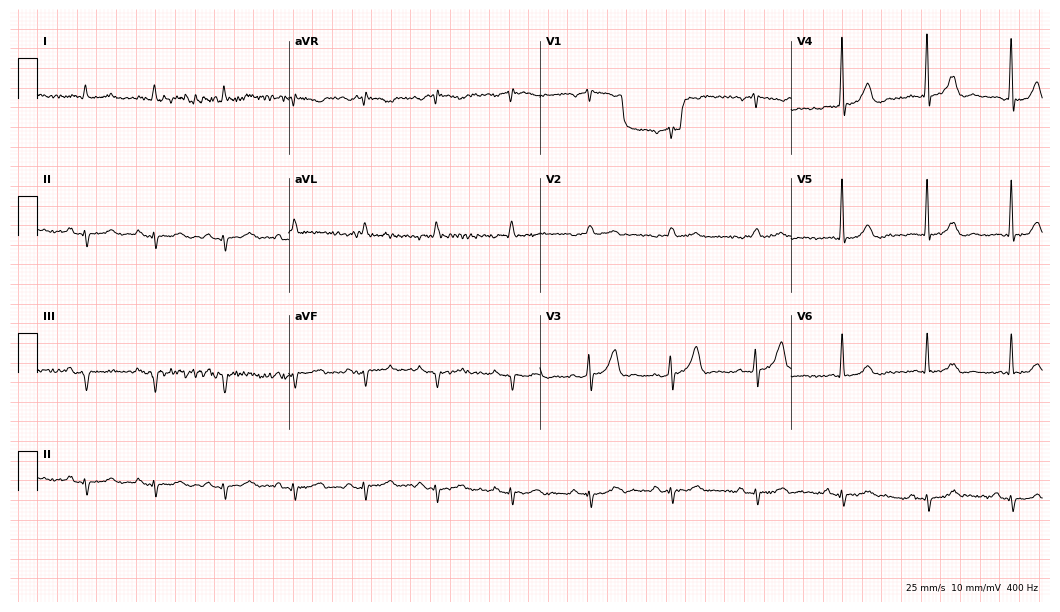
12-lead ECG from a male, 78 years old. No first-degree AV block, right bundle branch block, left bundle branch block, sinus bradycardia, atrial fibrillation or sinus tachycardia recorded for this tracing. Only these six findings were labelled.